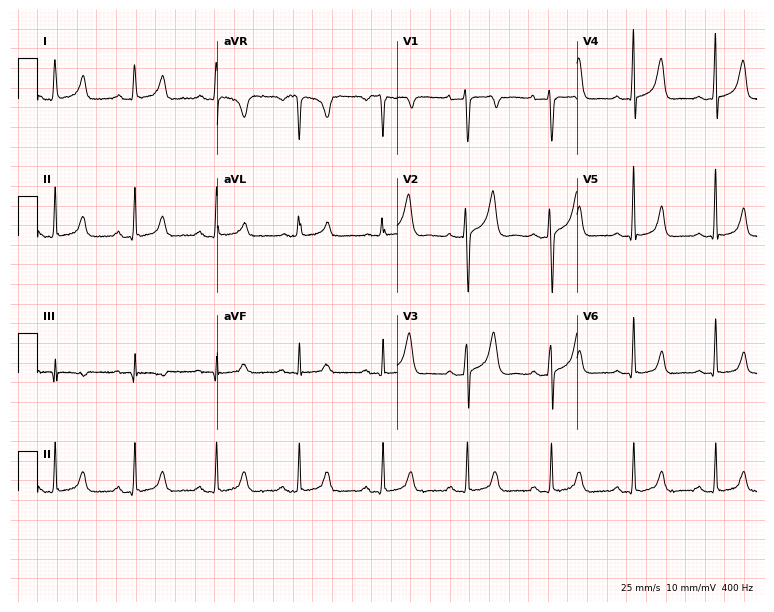
ECG (7.3-second recording at 400 Hz) — a female patient, 31 years old. Labelled as a normal ECG.